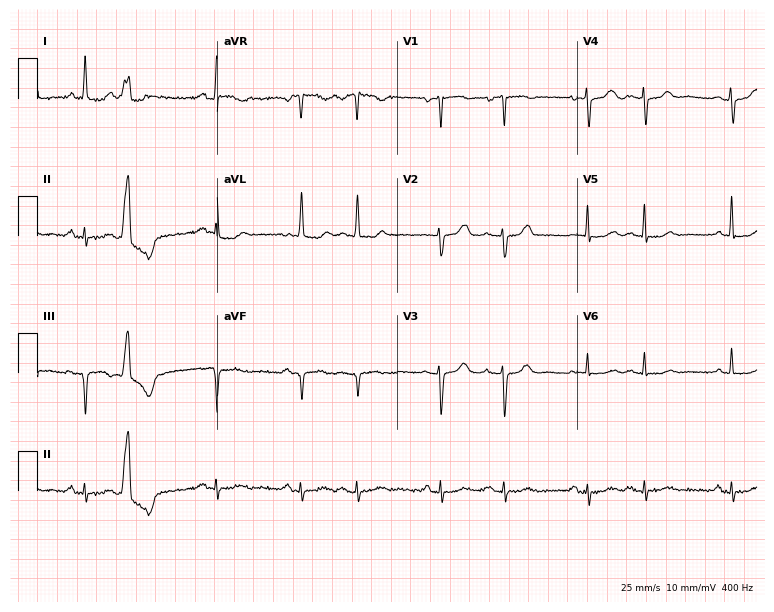
Electrocardiogram, a female, 83 years old. Of the six screened findings (first-degree AV block, right bundle branch block, left bundle branch block, sinus bradycardia, atrial fibrillation, sinus tachycardia), none is recorded.